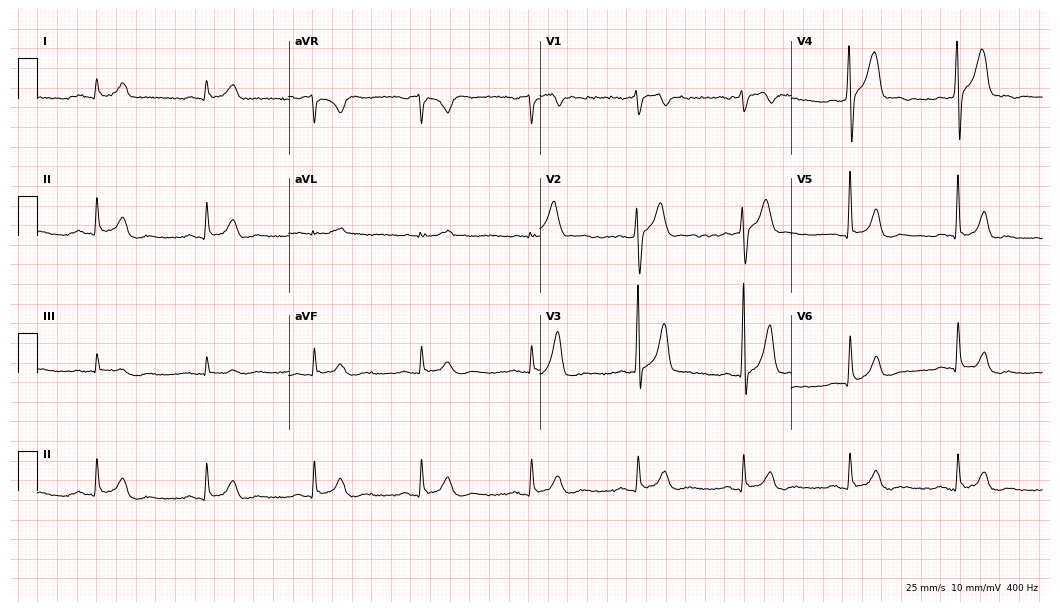
12-lead ECG from a male patient, 42 years old. Recorded interpretation: within normal limits.